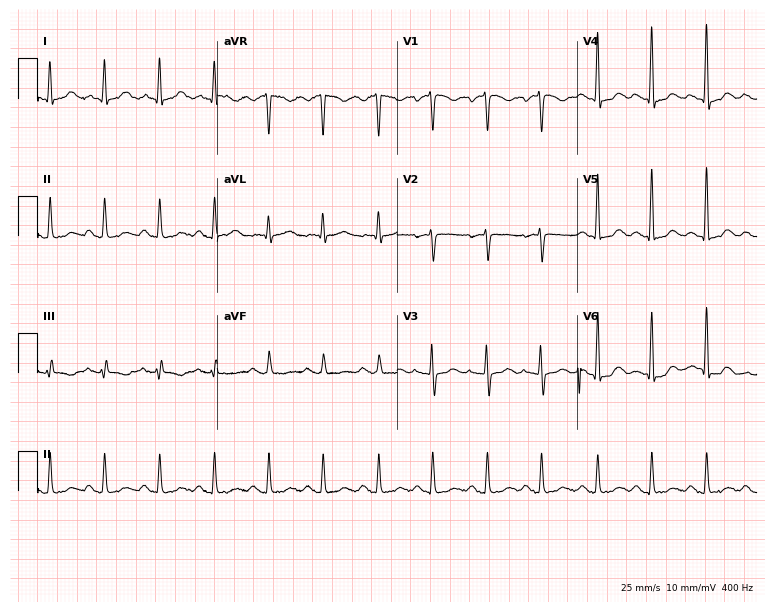
12-lead ECG from an 84-year-old woman. Shows sinus tachycardia (a sinus rate of 100 beats per minute or more).